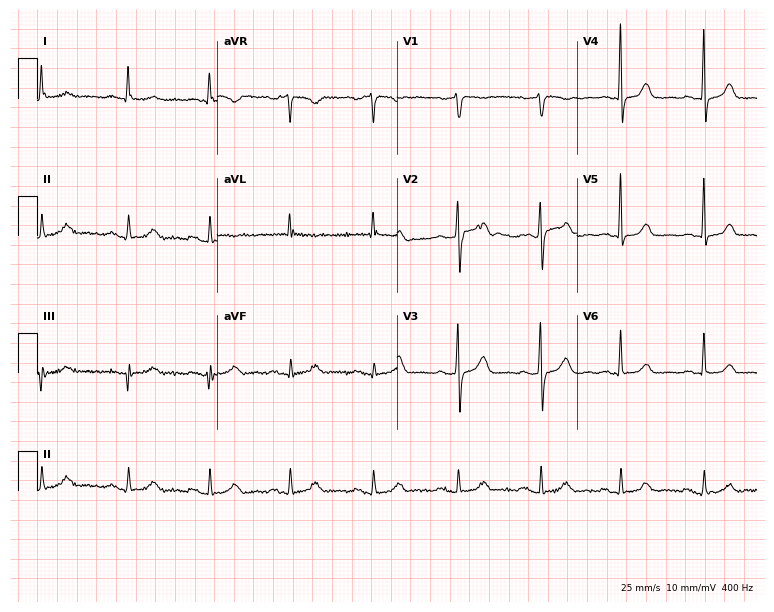
Standard 12-lead ECG recorded from a 68-year-old female. Read as a normal ECG.